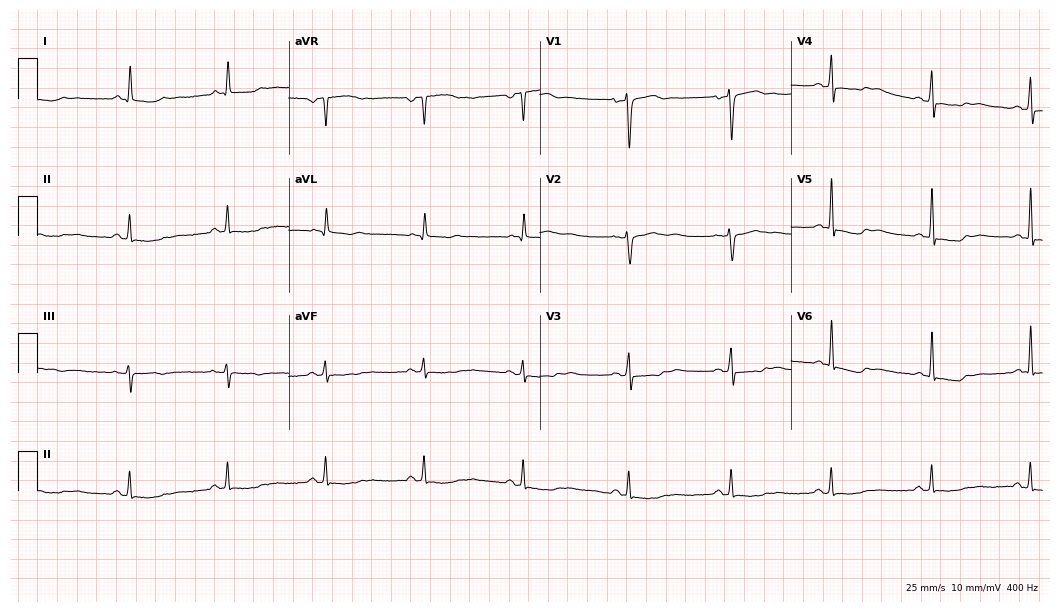
12-lead ECG (10.2-second recording at 400 Hz) from a woman, 63 years old. Screened for six findings — first-degree AV block, right bundle branch block (RBBB), left bundle branch block (LBBB), sinus bradycardia, atrial fibrillation (AF), sinus tachycardia — none is recorded.